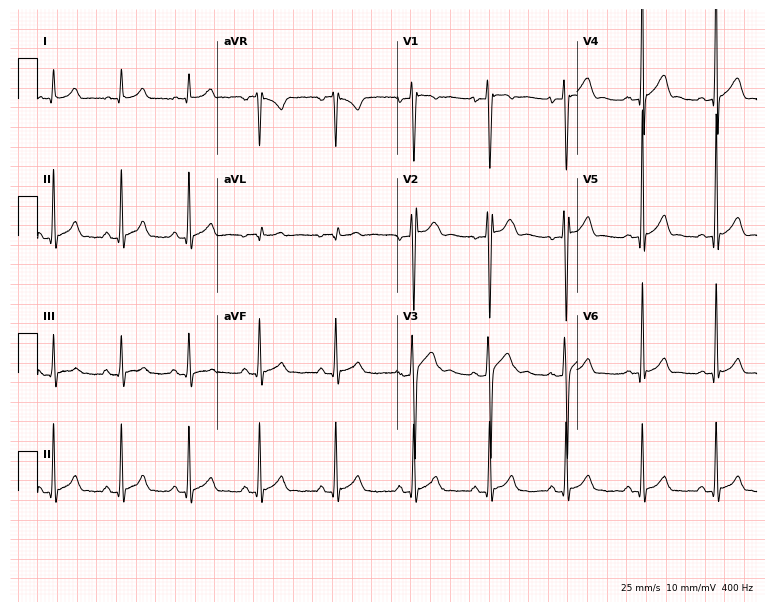
12-lead ECG from a 19-year-old male patient. No first-degree AV block, right bundle branch block, left bundle branch block, sinus bradycardia, atrial fibrillation or sinus tachycardia recorded for this tracing.